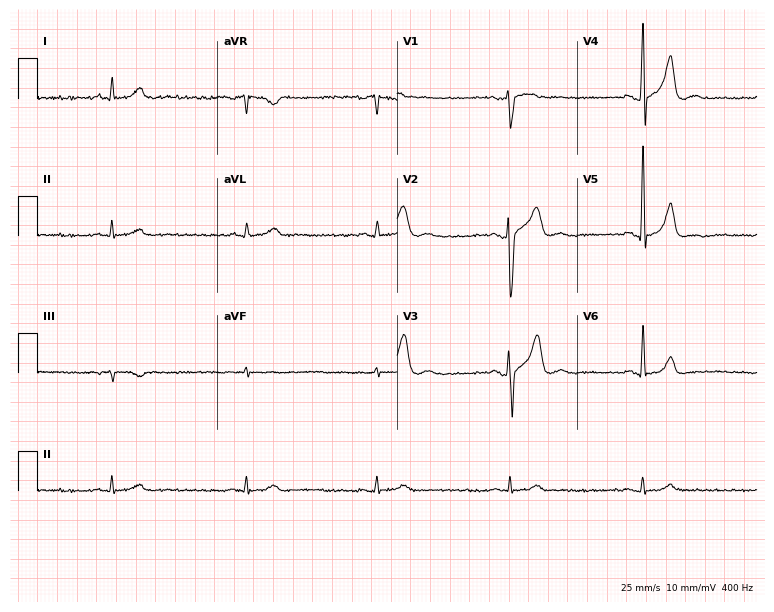
Electrocardiogram, a 68-year-old man. Interpretation includes sinus bradycardia (a sinus rate of 50 beats per minute or less).